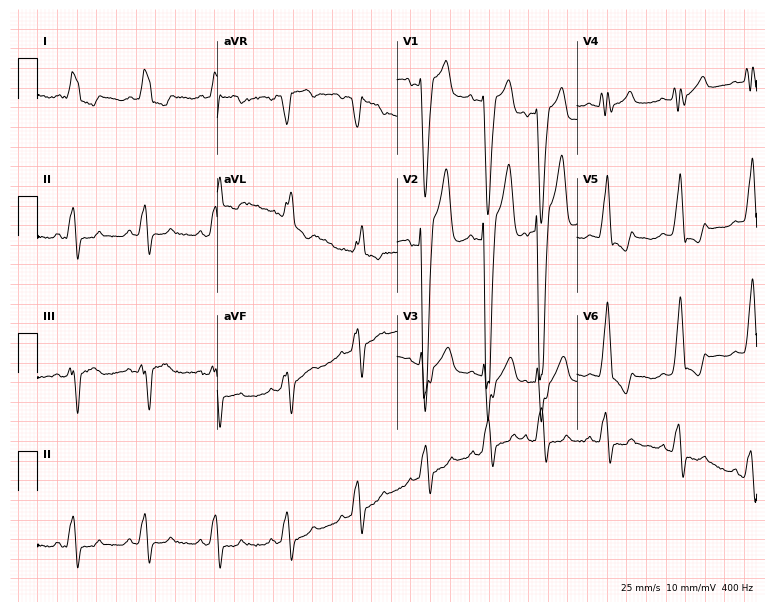
Standard 12-lead ECG recorded from an 84-year-old woman (7.3-second recording at 400 Hz). The tracing shows left bundle branch block (LBBB).